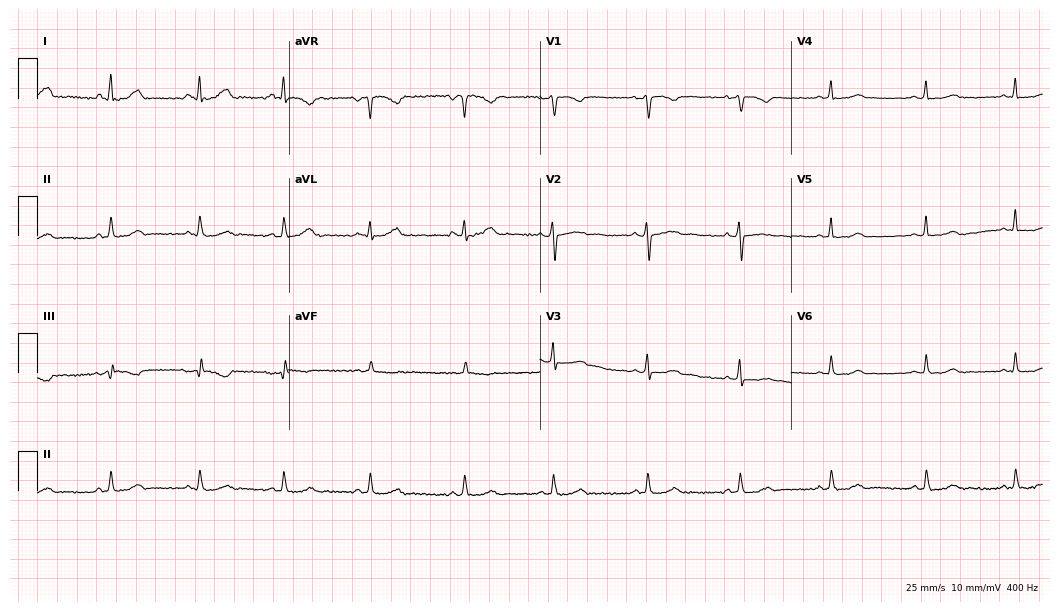
Resting 12-lead electrocardiogram (10.2-second recording at 400 Hz). Patient: a 26-year-old female. Read as a normal ECG.